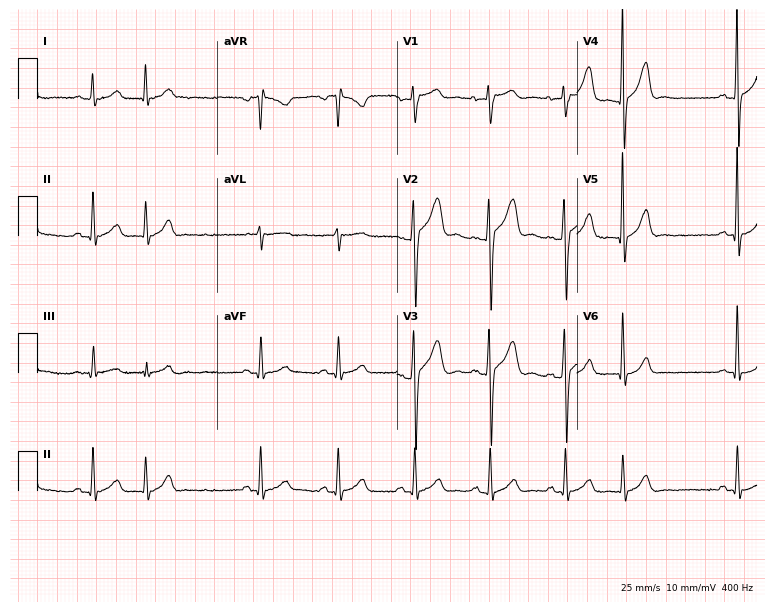
ECG (7.3-second recording at 400 Hz) — a 33-year-old male patient. Screened for six findings — first-degree AV block, right bundle branch block (RBBB), left bundle branch block (LBBB), sinus bradycardia, atrial fibrillation (AF), sinus tachycardia — none is recorded.